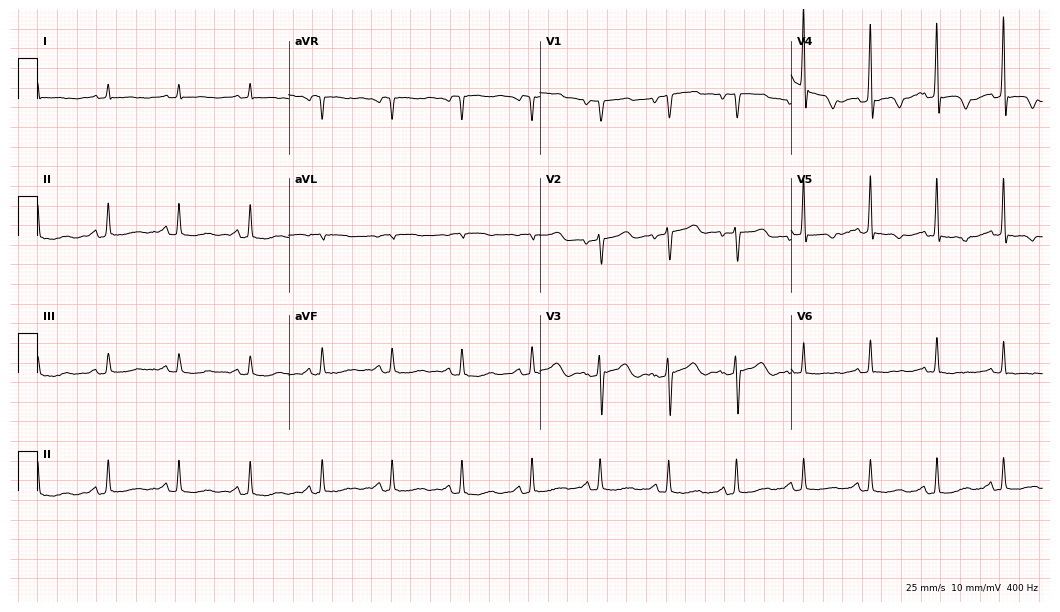
12-lead ECG from an 83-year-old man. Screened for six findings — first-degree AV block, right bundle branch block, left bundle branch block, sinus bradycardia, atrial fibrillation, sinus tachycardia — none is recorded.